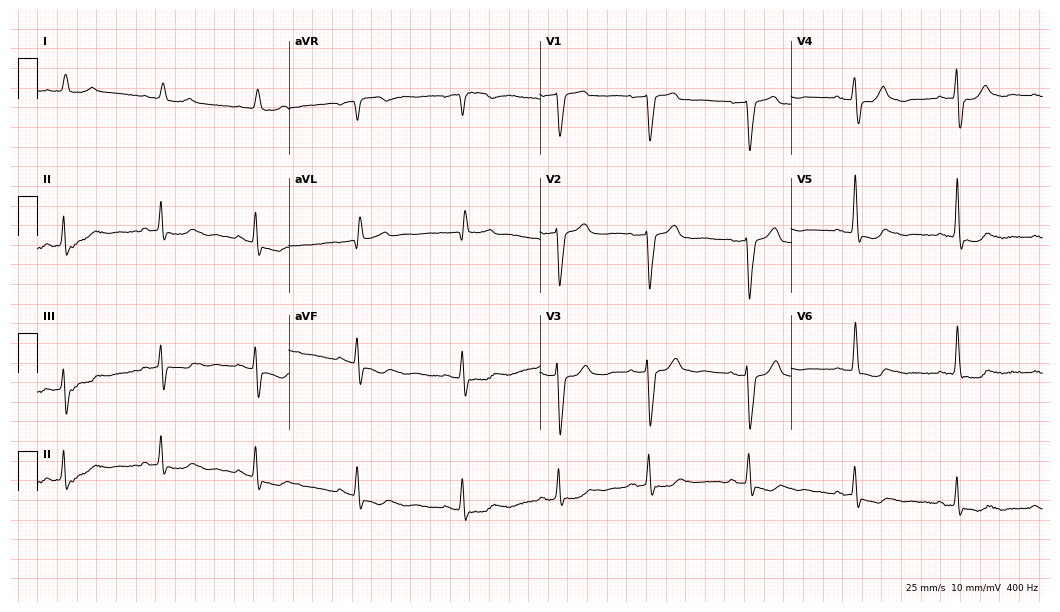
ECG — a 67-year-old woman. Screened for six findings — first-degree AV block, right bundle branch block, left bundle branch block, sinus bradycardia, atrial fibrillation, sinus tachycardia — none is recorded. Only these six findings were labelled.